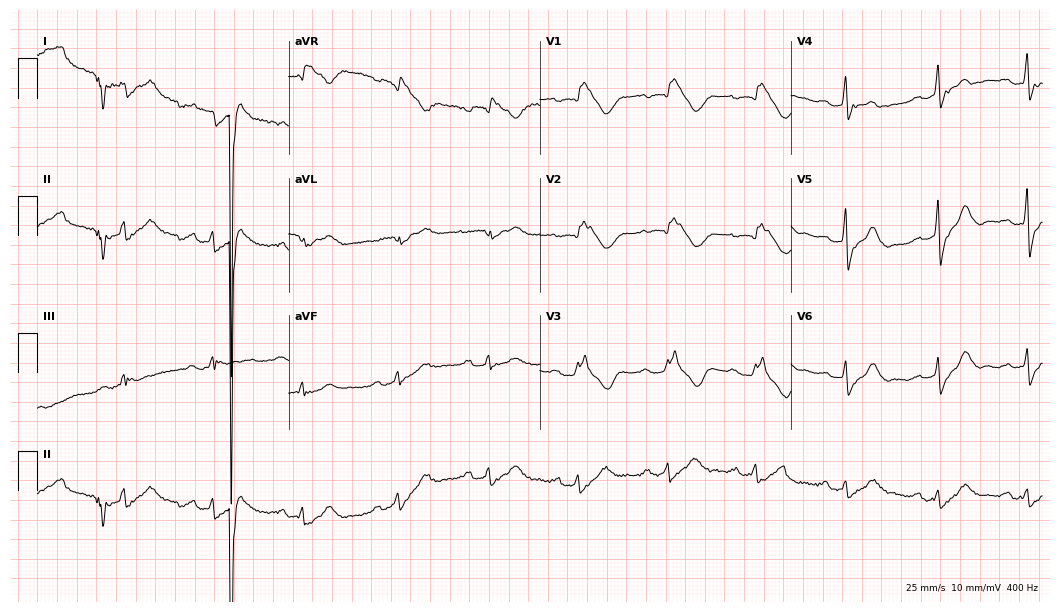
12-lead ECG (10.2-second recording at 400 Hz) from a woman, 75 years old. Screened for six findings — first-degree AV block, right bundle branch block, left bundle branch block, sinus bradycardia, atrial fibrillation, sinus tachycardia — none is recorded. Other findings, if any, are not listed.